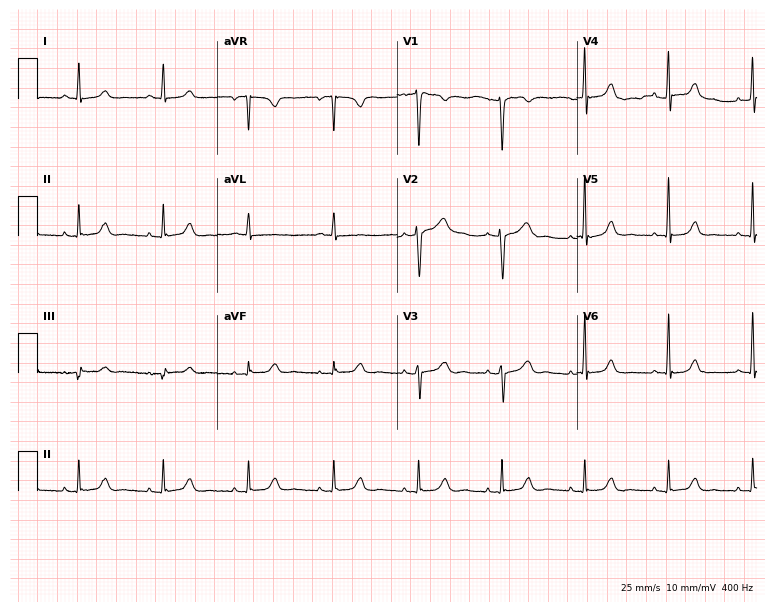
Resting 12-lead electrocardiogram. Patient: a 53-year-old woman. None of these six findings is recorded: first-degree AV block, right bundle branch block (RBBB), left bundle branch block (LBBB), sinus bradycardia, atrial fibrillation (AF), sinus tachycardia.